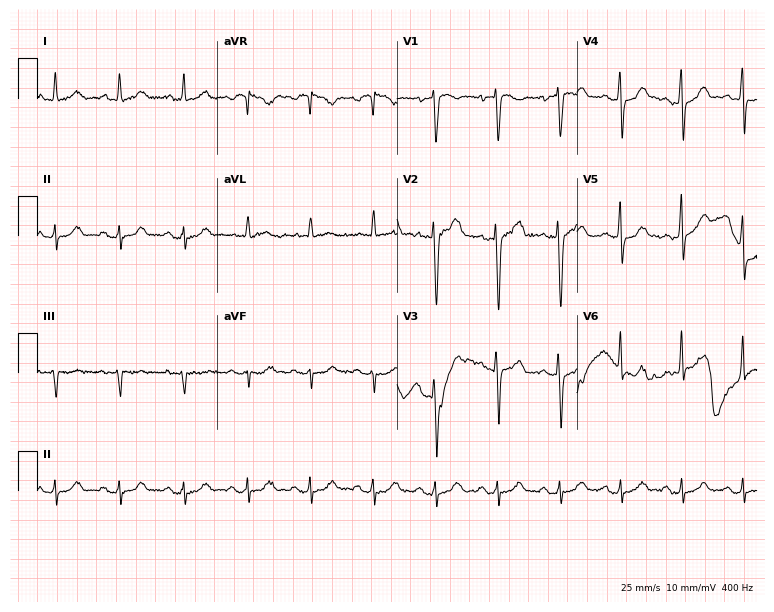
12-lead ECG from a 44-year-old male (7.3-second recording at 400 Hz). No first-degree AV block, right bundle branch block (RBBB), left bundle branch block (LBBB), sinus bradycardia, atrial fibrillation (AF) or sinus tachycardia recorded for this tracing.